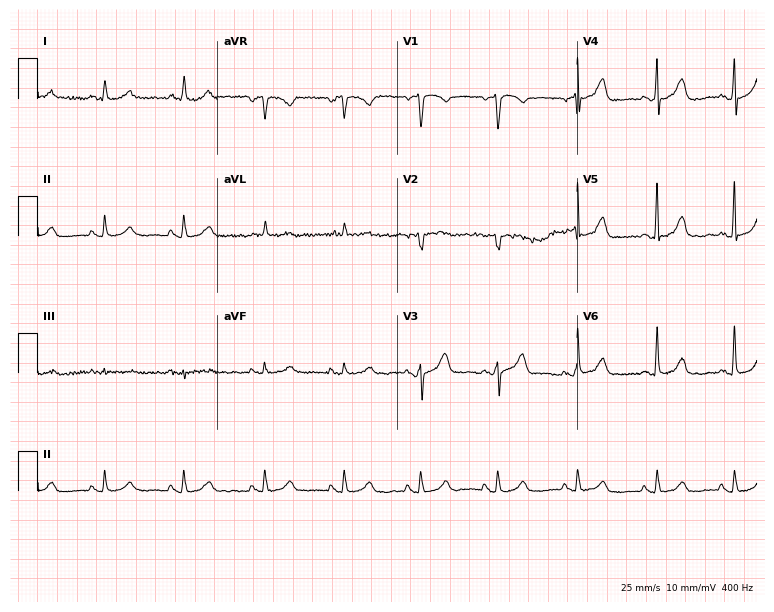
12-lead ECG from a woman, 58 years old. Screened for six findings — first-degree AV block, right bundle branch block, left bundle branch block, sinus bradycardia, atrial fibrillation, sinus tachycardia — none is recorded.